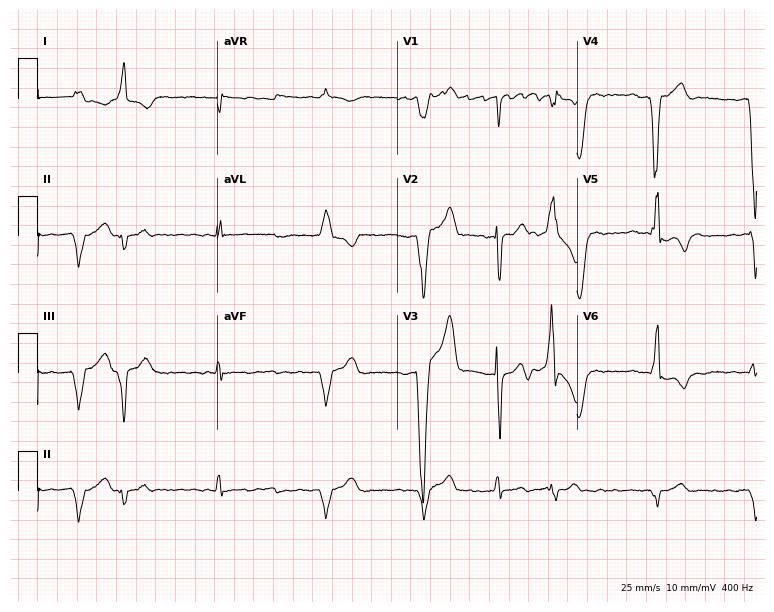
Standard 12-lead ECG recorded from a male, 83 years old (7.3-second recording at 400 Hz). The tracing shows atrial fibrillation.